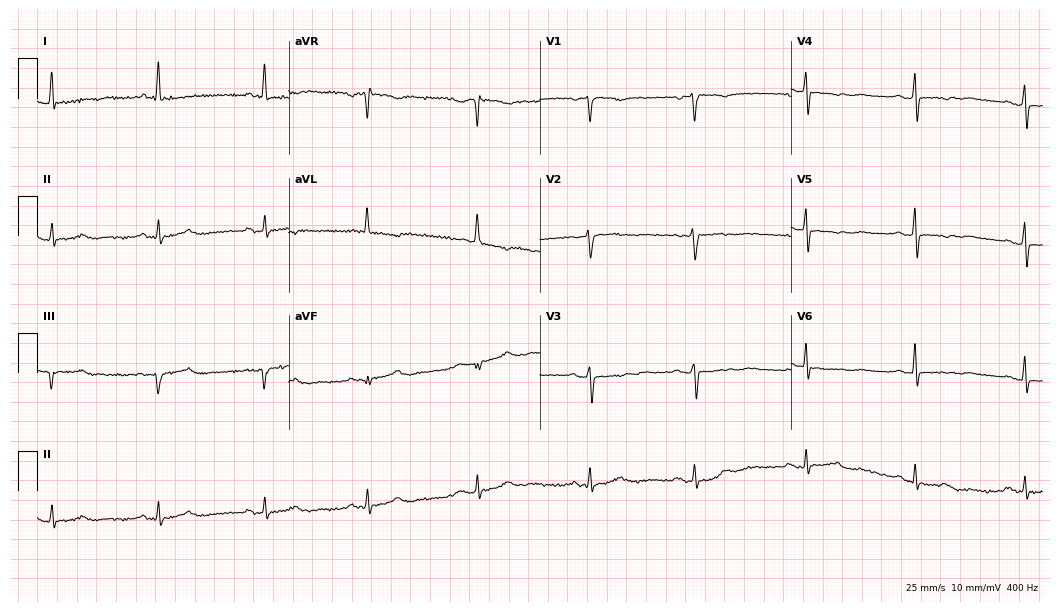
Resting 12-lead electrocardiogram. Patient: a female, 74 years old. None of these six findings is recorded: first-degree AV block, right bundle branch block, left bundle branch block, sinus bradycardia, atrial fibrillation, sinus tachycardia. Only these six findings were labelled.